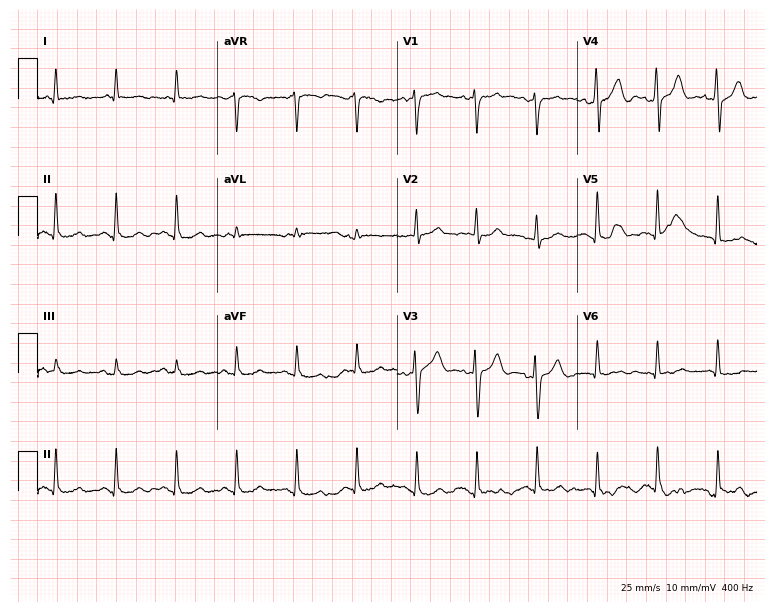
ECG — a male patient, 53 years old. Labelled as a normal ECG.